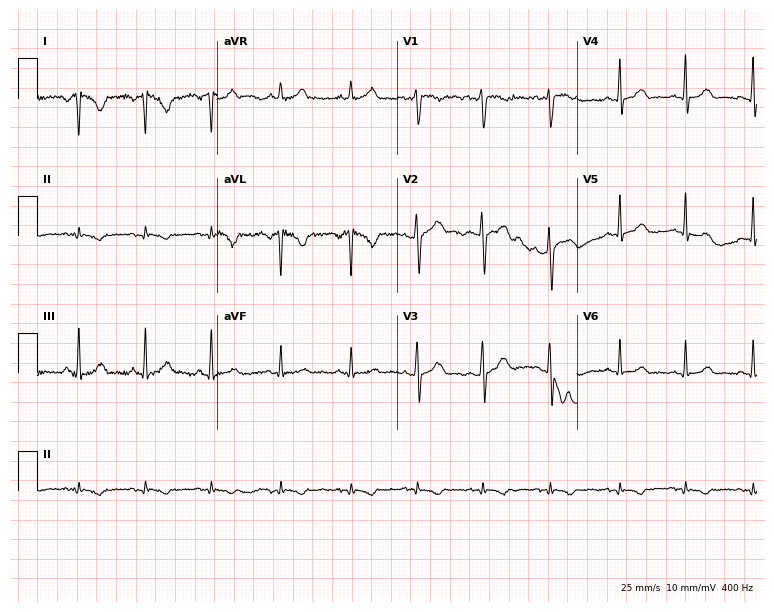
Standard 12-lead ECG recorded from a 31-year-old female patient (7.3-second recording at 400 Hz). None of these six findings is recorded: first-degree AV block, right bundle branch block, left bundle branch block, sinus bradycardia, atrial fibrillation, sinus tachycardia.